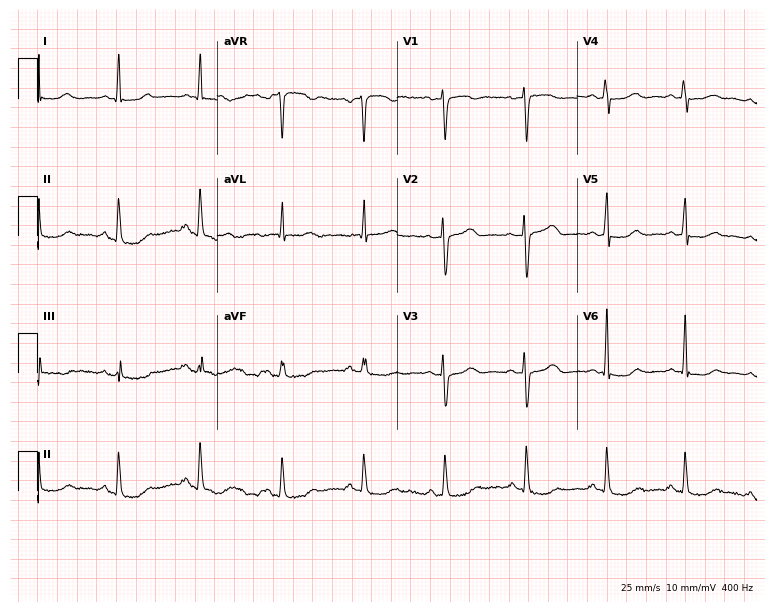
12-lead ECG from a 53-year-old female patient. Labelled as a normal ECG.